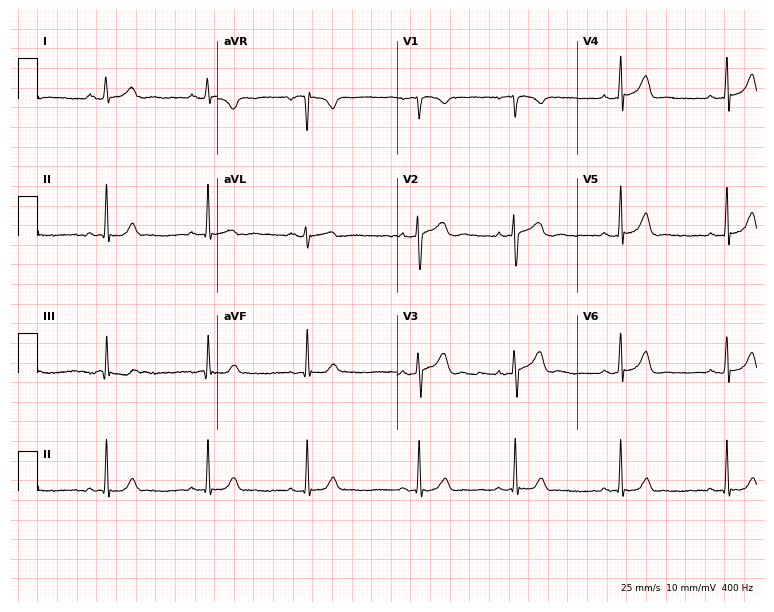
Electrocardiogram, a woman, 28 years old. Overall reading on record: normal ECG.